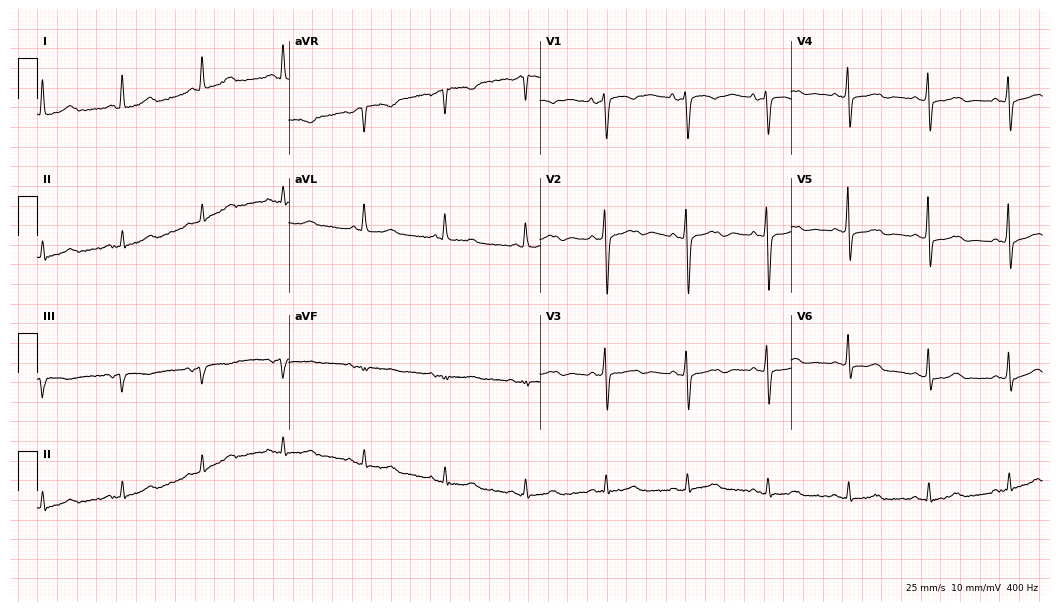
Resting 12-lead electrocardiogram (10.2-second recording at 400 Hz). Patient: a female, 79 years old. None of these six findings is recorded: first-degree AV block, right bundle branch block, left bundle branch block, sinus bradycardia, atrial fibrillation, sinus tachycardia.